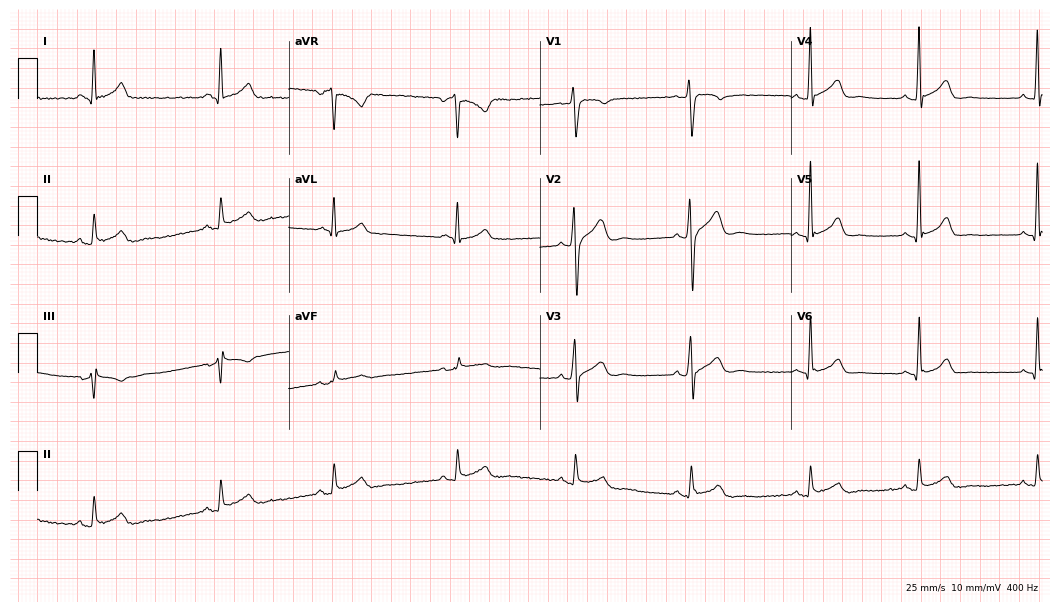
Electrocardiogram (10.2-second recording at 400 Hz), a male, 35 years old. Overall reading on record: normal ECG.